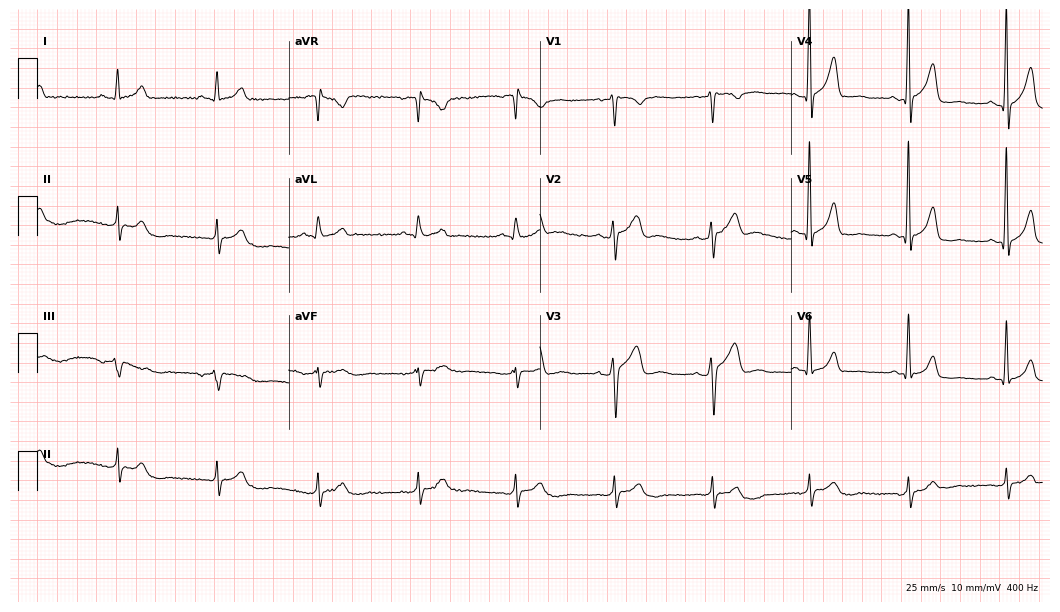
12-lead ECG (10.2-second recording at 400 Hz) from a 51-year-old male. Labelled as a normal ECG.